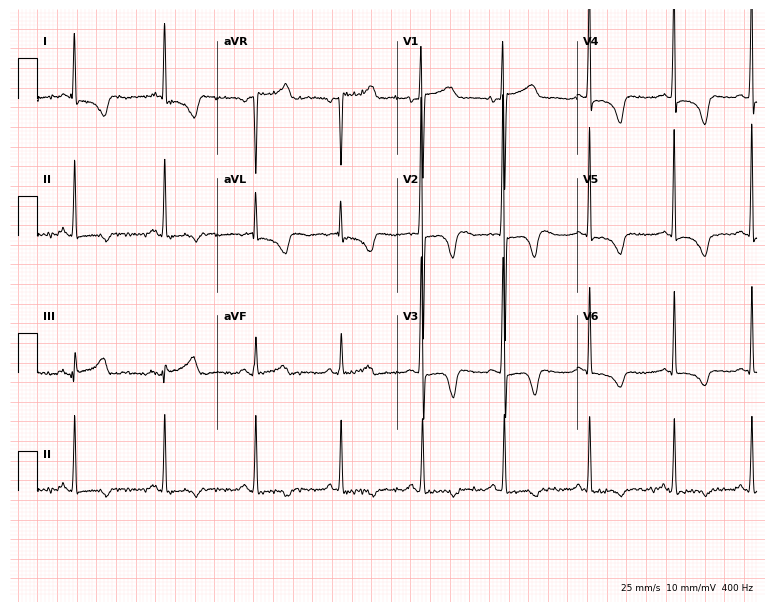
12-lead ECG from a woman, 43 years old (7.3-second recording at 400 Hz). No first-degree AV block, right bundle branch block, left bundle branch block, sinus bradycardia, atrial fibrillation or sinus tachycardia recorded for this tracing.